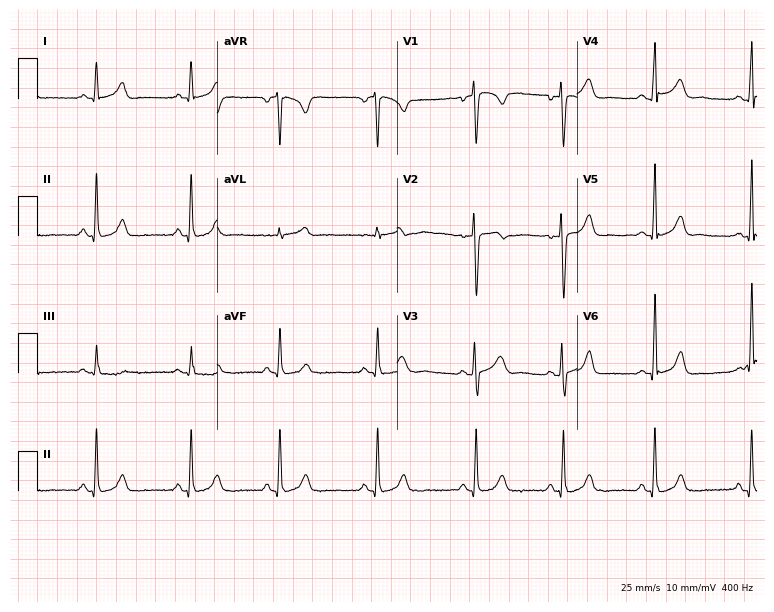
12-lead ECG from a female, 26 years old. Labelled as a normal ECG.